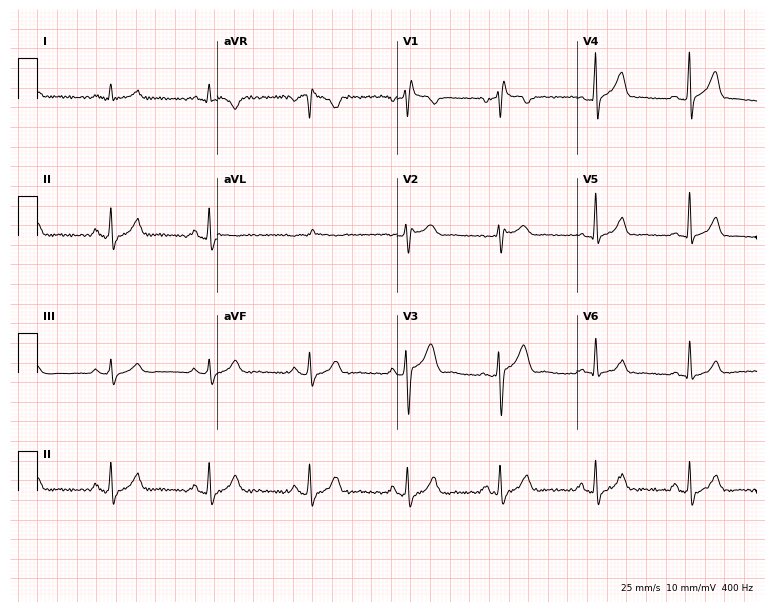
Resting 12-lead electrocardiogram. Patient: a man, 42 years old. The tracing shows right bundle branch block.